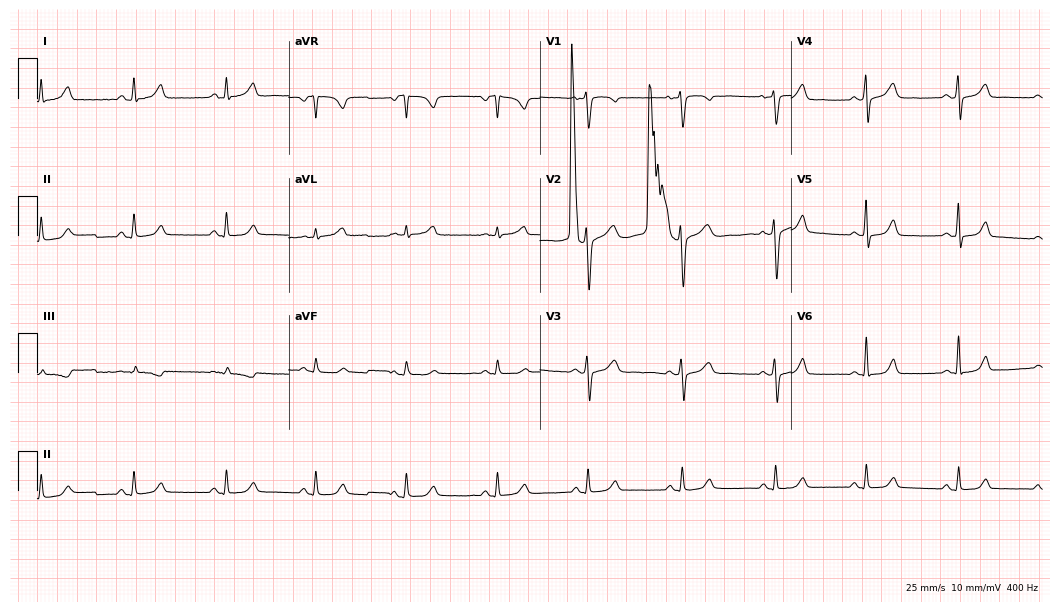
12-lead ECG from a 34-year-old female. Recorded interpretation: within normal limits.